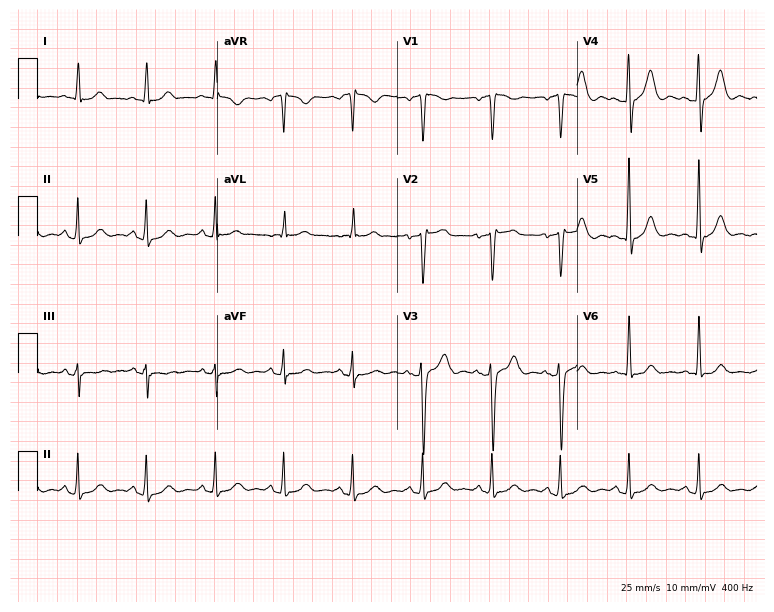
Electrocardiogram, a 60-year-old woman. Overall reading on record: normal ECG.